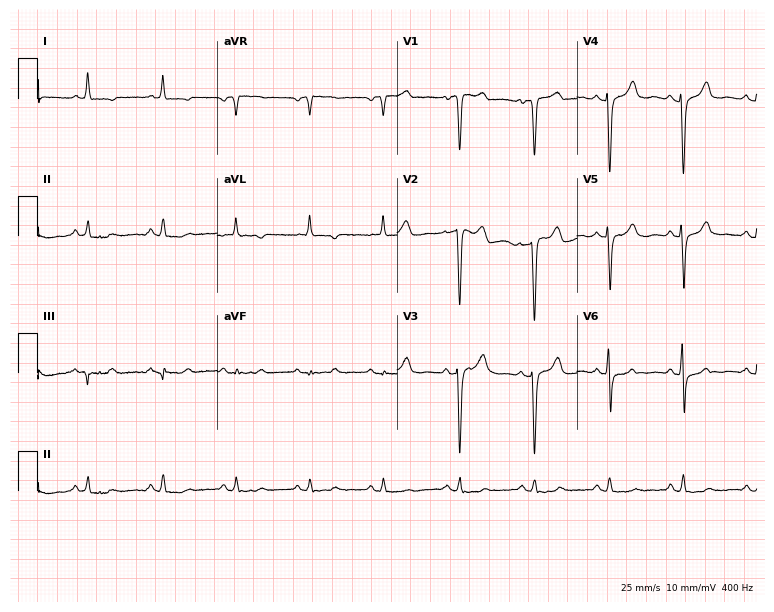
Standard 12-lead ECG recorded from an 84-year-old woman (7.3-second recording at 400 Hz). None of these six findings is recorded: first-degree AV block, right bundle branch block (RBBB), left bundle branch block (LBBB), sinus bradycardia, atrial fibrillation (AF), sinus tachycardia.